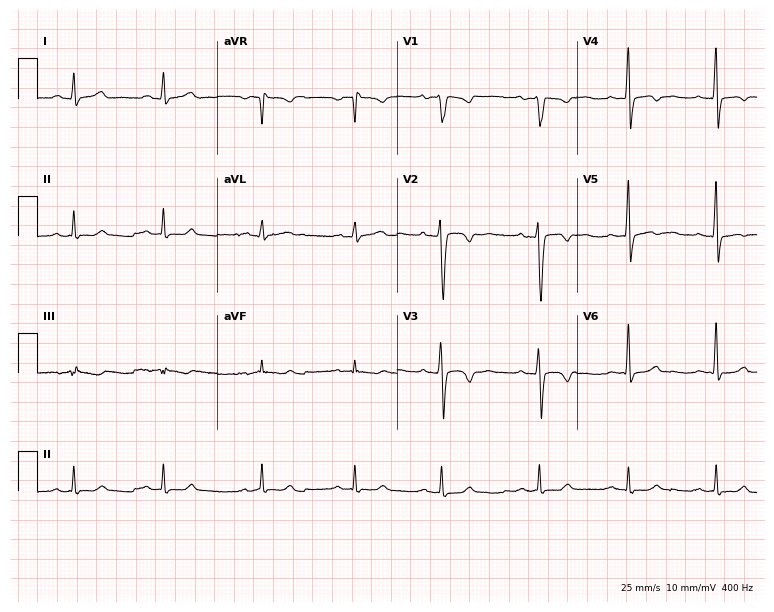
Standard 12-lead ECG recorded from a male, 21 years old. Read as a normal ECG.